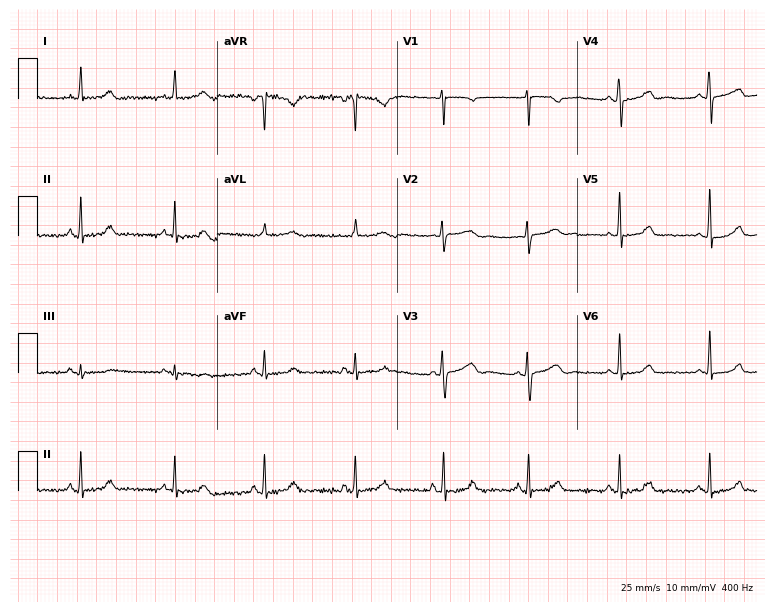
Standard 12-lead ECG recorded from a woman, 47 years old (7.3-second recording at 400 Hz). None of these six findings is recorded: first-degree AV block, right bundle branch block, left bundle branch block, sinus bradycardia, atrial fibrillation, sinus tachycardia.